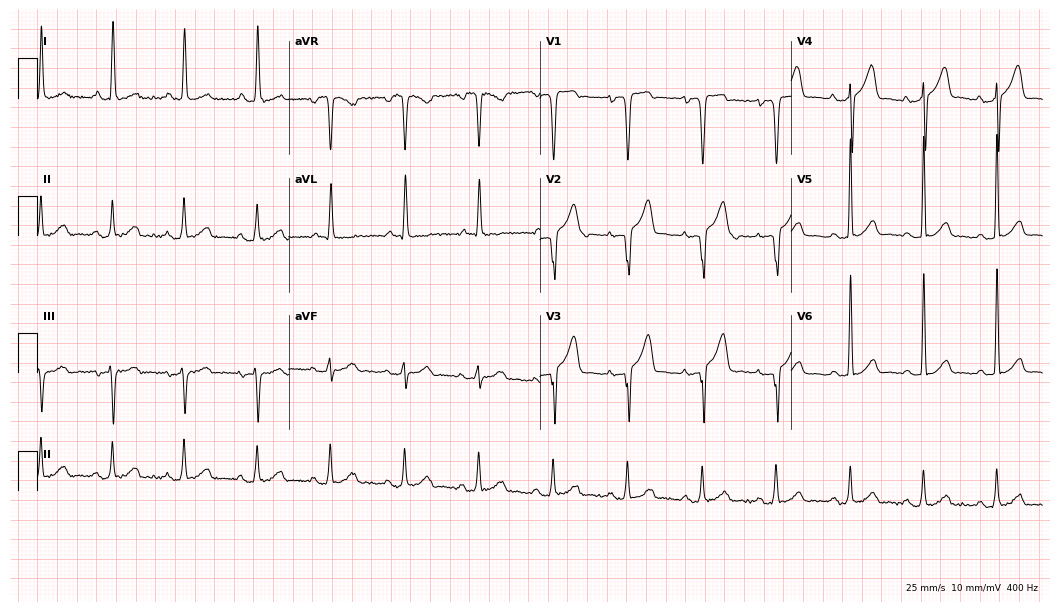
Resting 12-lead electrocardiogram (10.2-second recording at 400 Hz). Patient: a 77-year-old male. None of these six findings is recorded: first-degree AV block, right bundle branch block, left bundle branch block, sinus bradycardia, atrial fibrillation, sinus tachycardia.